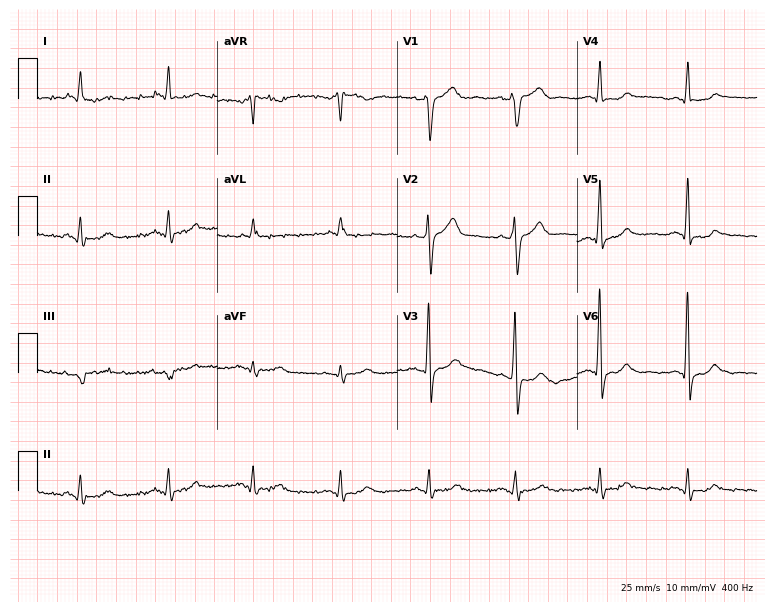
Electrocardiogram (7.3-second recording at 400 Hz), a male patient, 70 years old. Of the six screened findings (first-degree AV block, right bundle branch block (RBBB), left bundle branch block (LBBB), sinus bradycardia, atrial fibrillation (AF), sinus tachycardia), none is recorded.